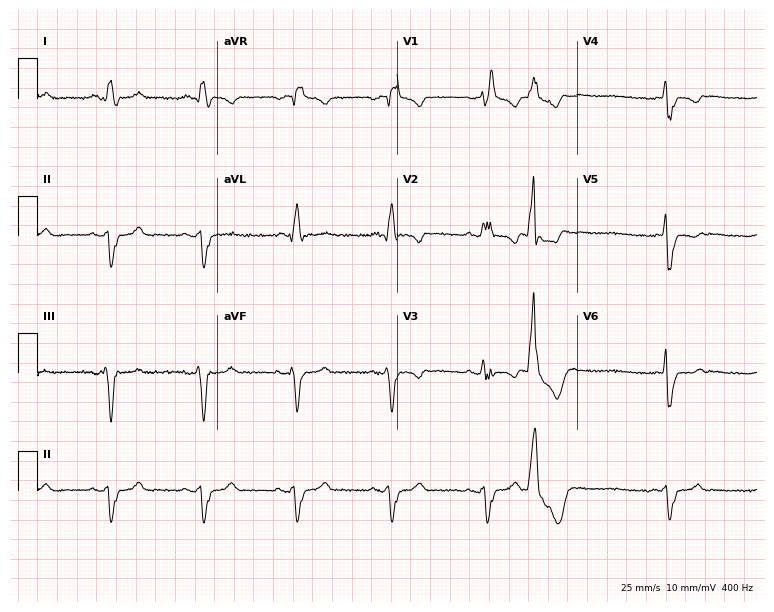
Electrocardiogram, a male, 62 years old. Of the six screened findings (first-degree AV block, right bundle branch block, left bundle branch block, sinus bradycardia, atrial fibrillation, sinus tachycardia), none is recorded. Only these six findings were labelled.